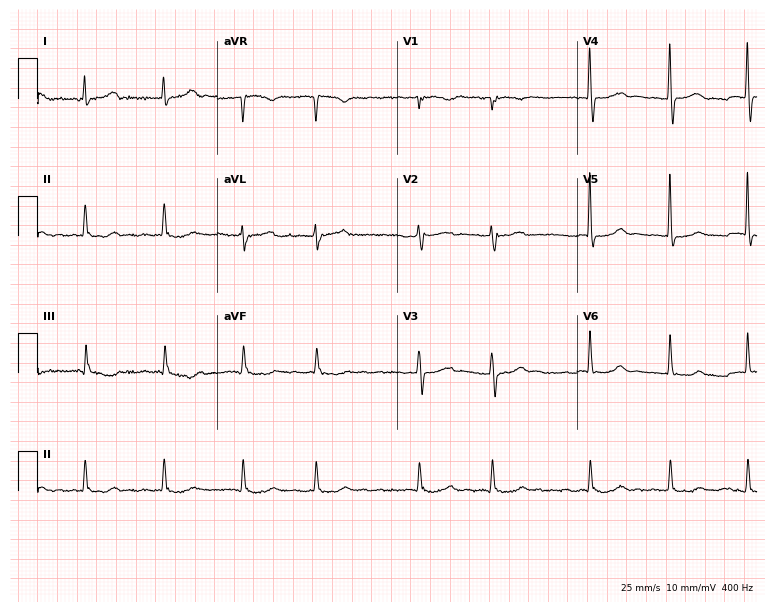
ECG — an 80-year-old female. Findings include atrial fibrillation.